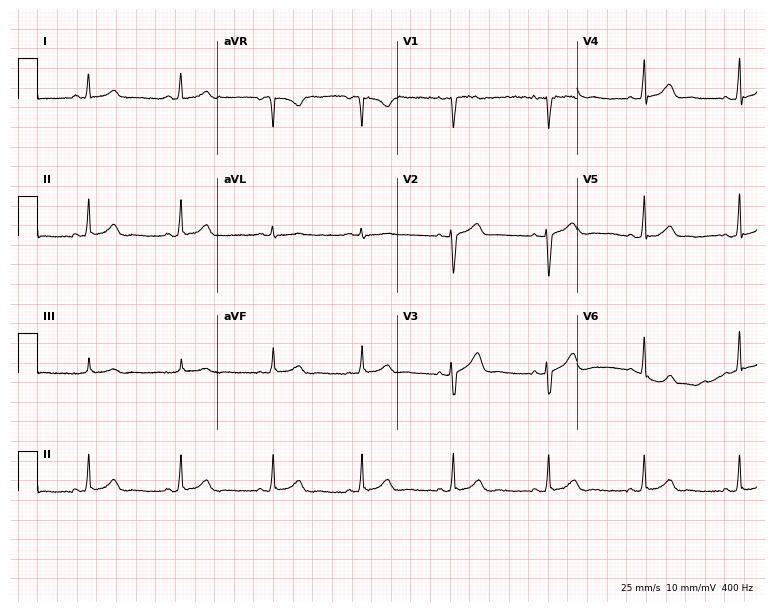
ECG (7.3-second recording at 400 Hz) — a 41-year-old woman. Labelled as a normal ECG.